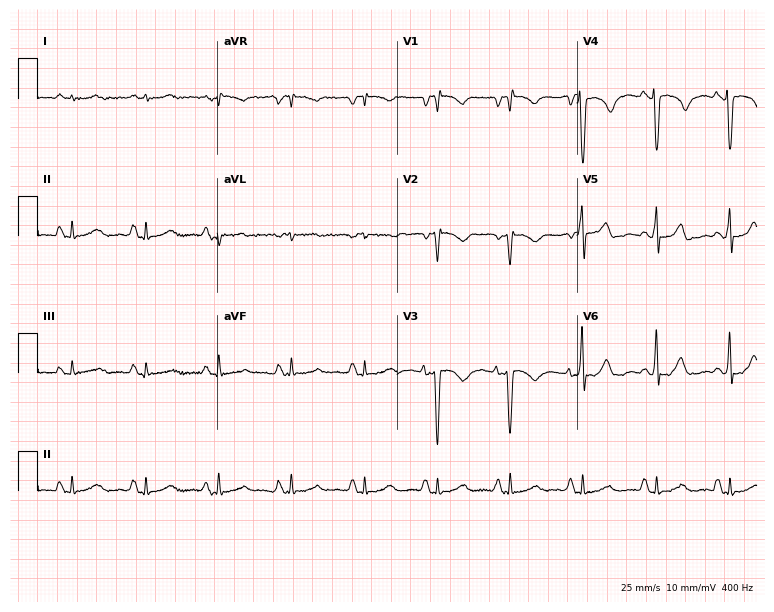
Standard 12-lead ECG recorded from a female patient, 67 years old. None of these six findings is recorded: first-degree AV block, right bundle branch block, left bundle branch block, sinus bradycardia, atrial fibrillation, sinus tachycardia. Only these six findings were labelled.